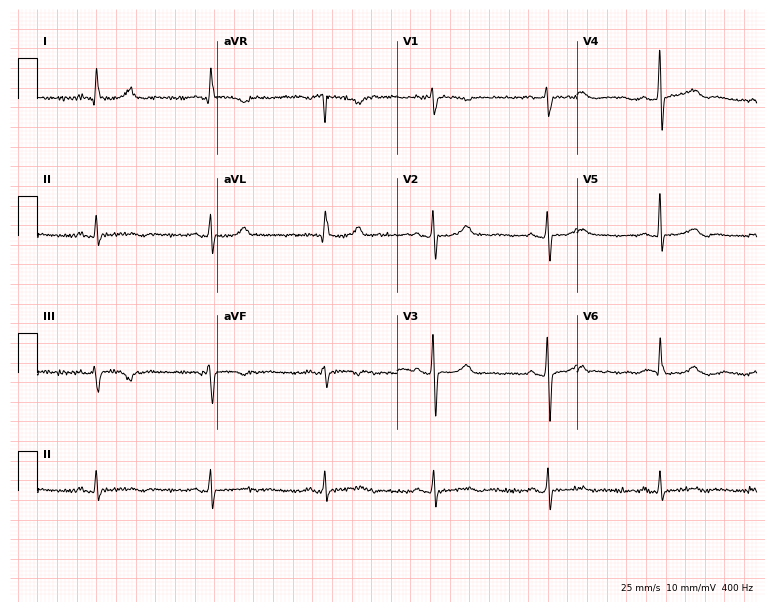
Electrocardiogram, a female patient, 65 years old. Of the six screened findings (first-degree AV block, right bundle branch block, left bundle branch block, sinus bradycardia, atrial fibrillation, sinus tachycardia), none is recorded.